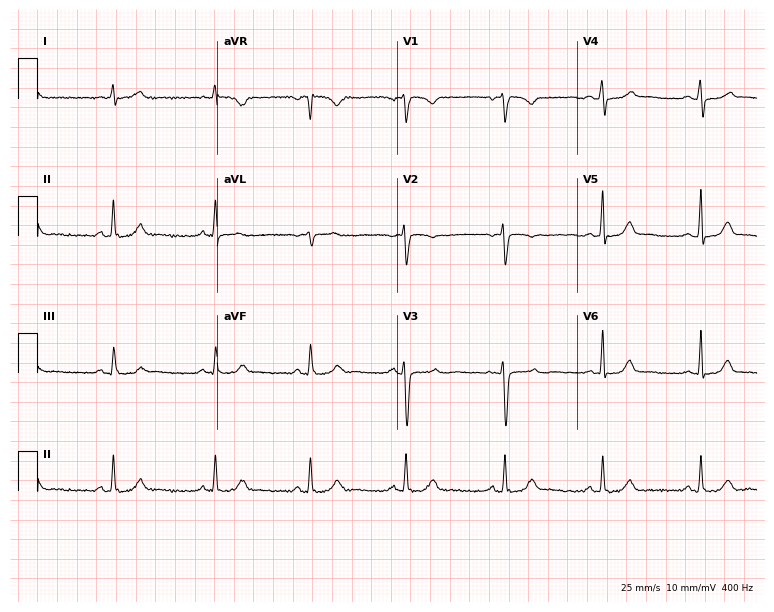
Resting 12-lead electrocardiogram. Patient: a woman, 27 years old. None of these six findings is recorded: first-degree AV block, right bundle branch block, left bundle branch block, sinus bradycardia, atrial fibrillation, sinus tachycardia. Only these six findings were labelled.